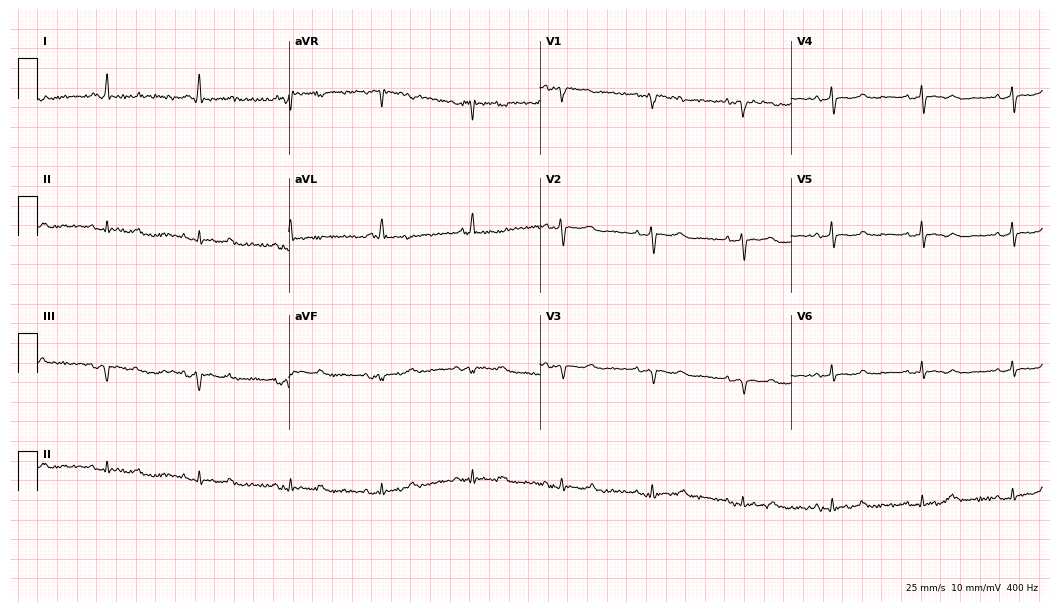
ECG — a woman, 72 years old. Screened for six findings — first-degree AV block, right bundle branch block, left bundle branch block, sinus bradycardia, atrial fibrillation, sinus tachycardia — none is recorded.